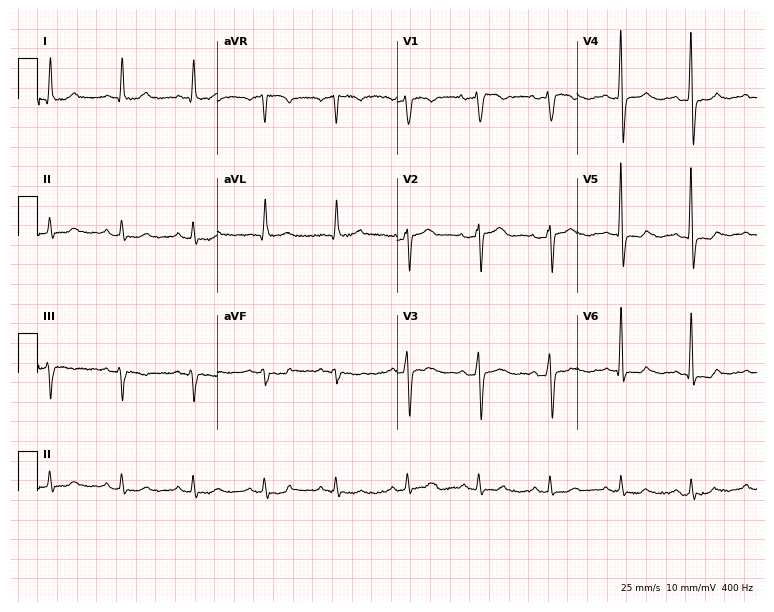
Standard 12-lead ECG recorded from a 64-year-old male (7.3-second recording at 400 Hz). None of these six findings is recorded: first-degree AV block, right bundle branch block (RBBB), left bundle branch block (LBBB), sinus bradycardia, atrial fibrillation (AF), sinus tachycardia. Other findings, if any, are not listed.